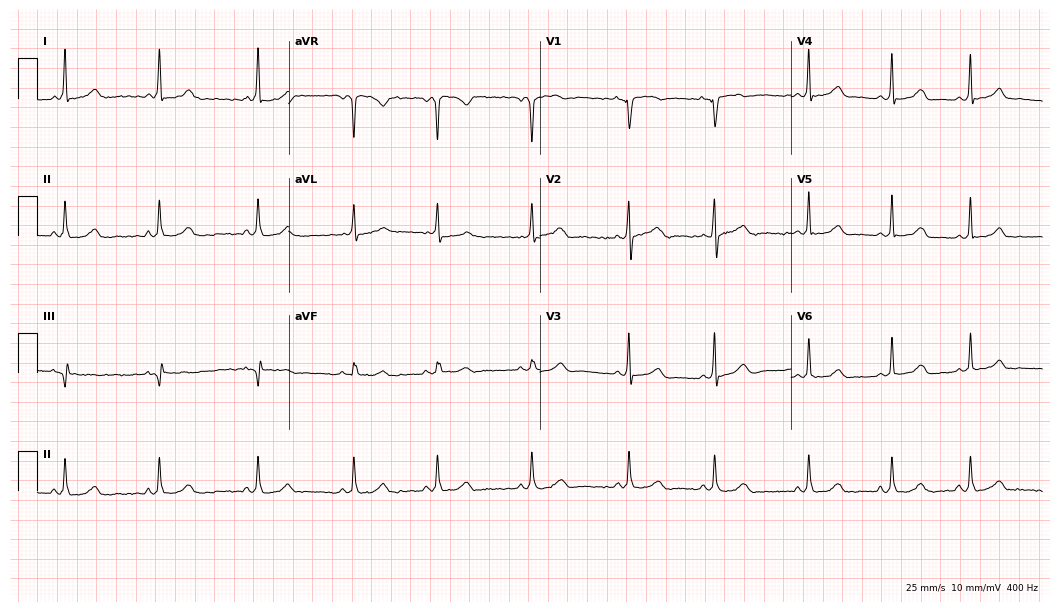
Resting 12-lead electrocardiogram. Patient: a 36-year-old woman. Read as a normal ECG.